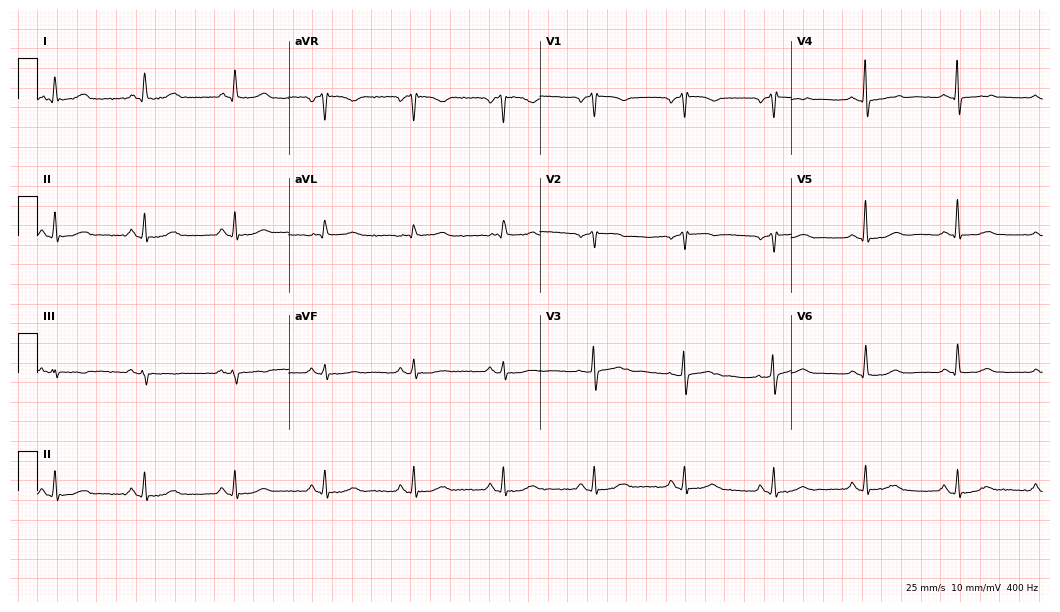
12-lead ECG from a female patient, 75 years old (10.2-second recording at 400 Hz). No first-degree AV block, right bundle branch block (RBBB), left bundle branch block (LBBB), sinus bradycardia, atrial fibrillation (AF) or sinus tachycardia recorded for this tracing.